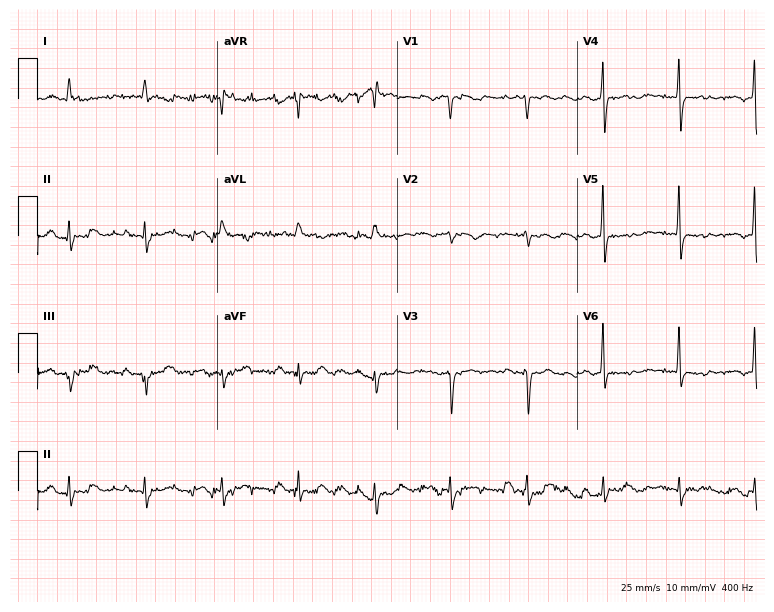
Standard 12-lead ECG recorded from an 86-year-old female. None of these six findings is recorded: first-degree AV block, right bundle branch block, left bundle branch block, sinus bradycardia, atrial fibrillation, sinus tachycardia. Findings outside these six are not listed.